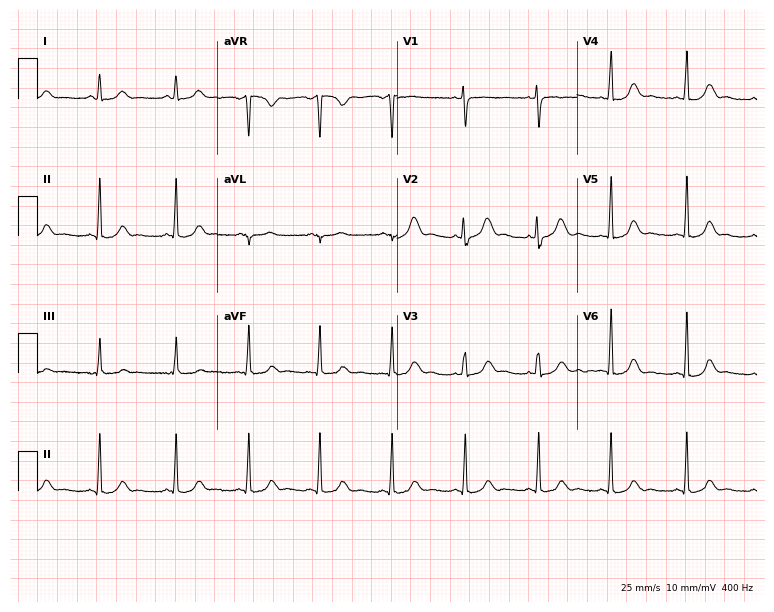
ECG — a 30-year-old woman. Labelled as a normal ECG.